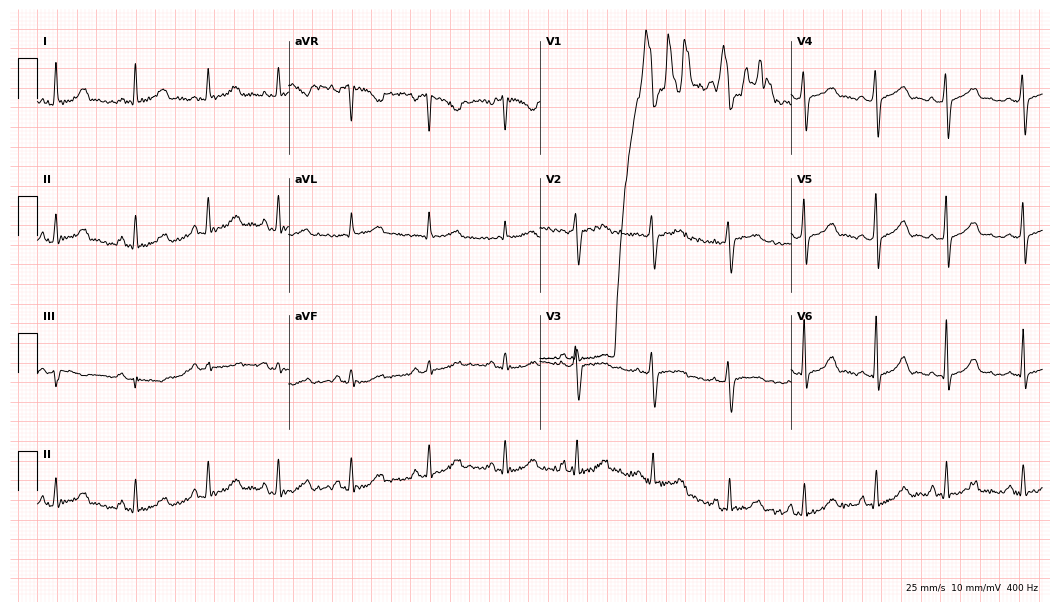
12-lead ECG from a 40-year-old female. Screened for six findings — first-degree AV block, right bundle branch block, left bundle branch block, sinus bradycardia, atrial fibrillation, sinus tachycardia — none is recorded.